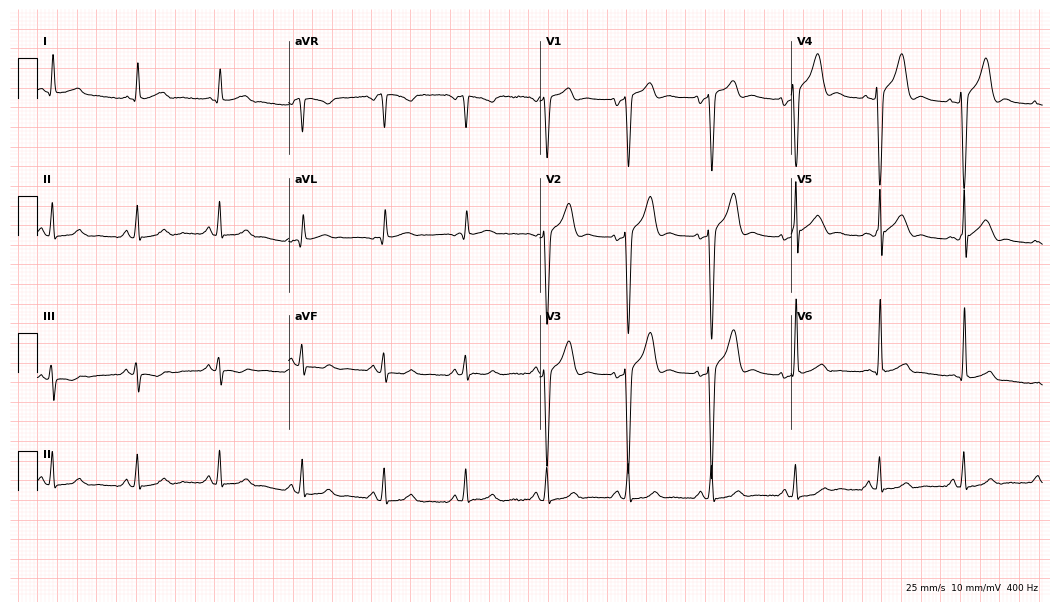
Standard 12-lead ECG recorded from a male, 52 years old. None of these six findings is recorded: first-degree AV block, right bundle branch block (RBBB), left bundle branch block (LBBB), sinus bradycardia, atrial fibrillation (AF), sinus tachycardia.